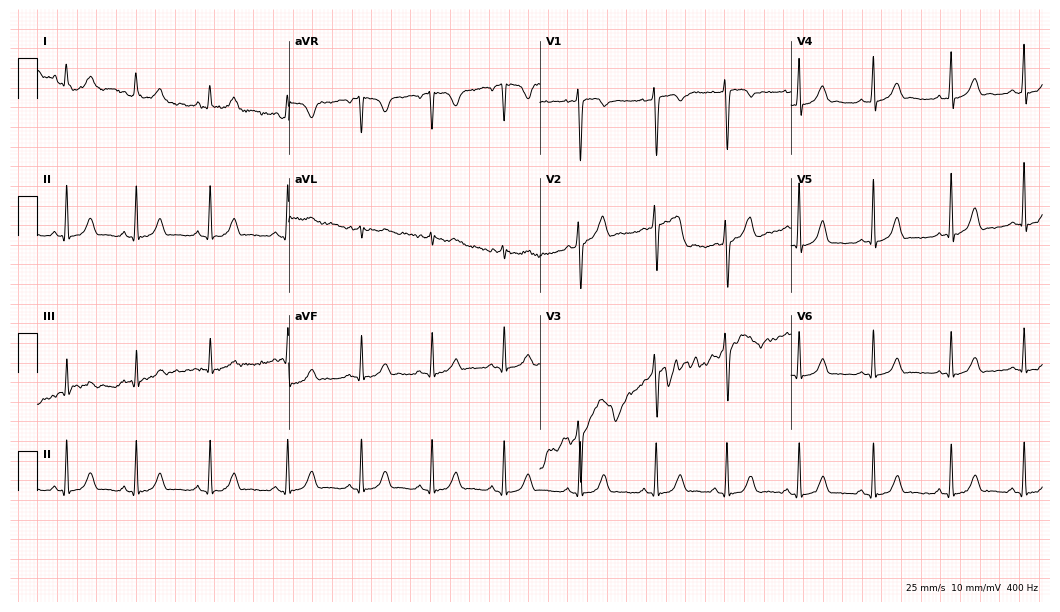
ECG (10.2-second recording at 400 Hz) — a female, 20 years old. Screened for six findings — first-degree AV block, right bundle branch block, left bundle branch block, sinus bradycardia, atrial fibrillation, sinus tachycardia — none is recorded. Other findings, if any, are not listed.